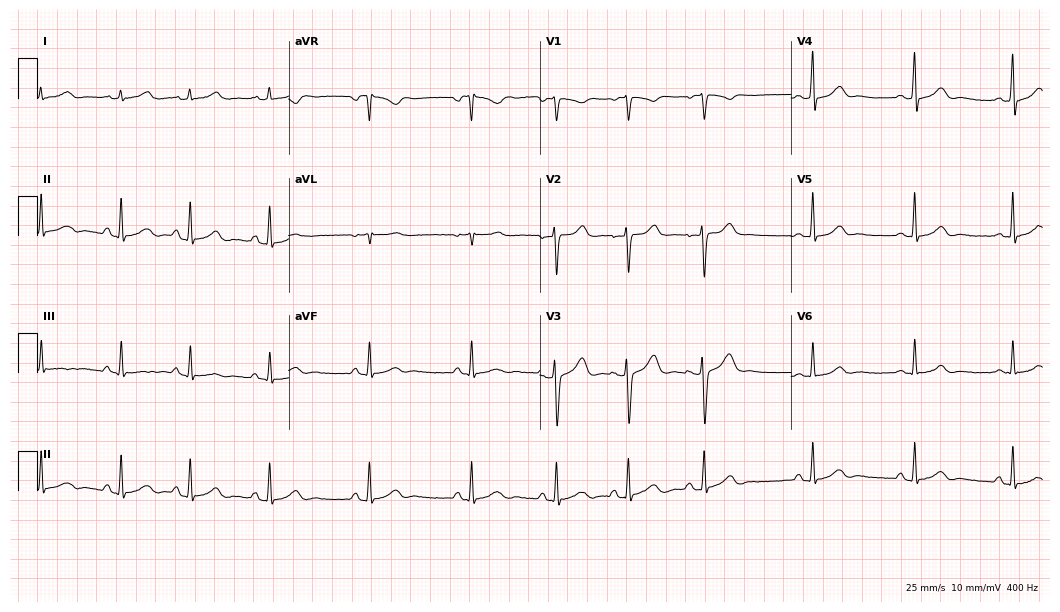
Electrocardiogram, a 22-year-old female. Of the six screened findings (first-degree AV block, right bundle branch block, left bundle branch block, sinus bradycardia, atrial fibrillation, sinus tachycardia), none is recorded. Other findings, if any, are not listed.